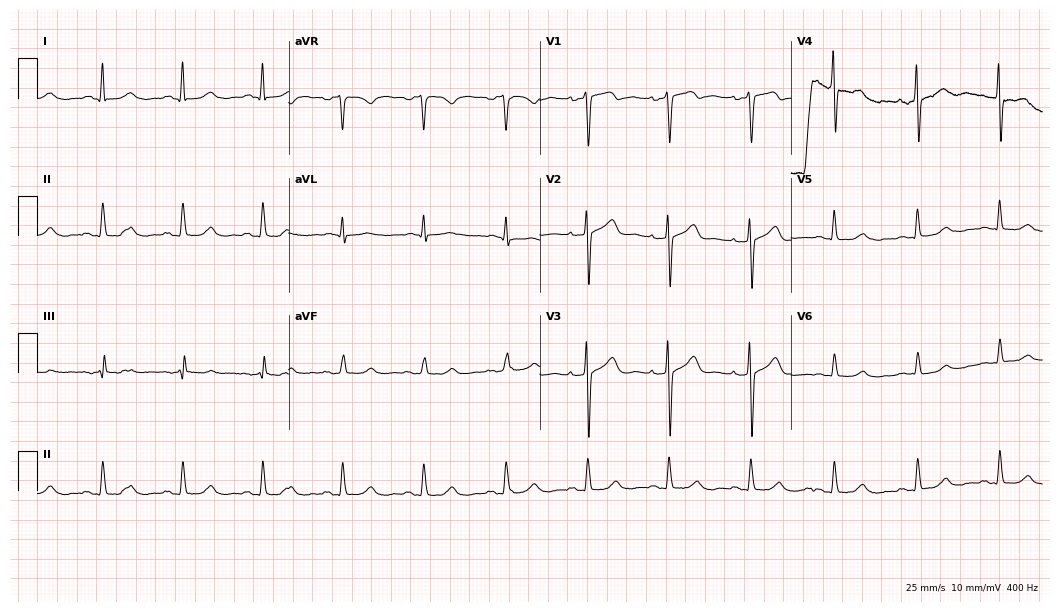
Resting 12-lead electrocardiogram. Patient: a 56-year-old woman. Read as a normal ECG.